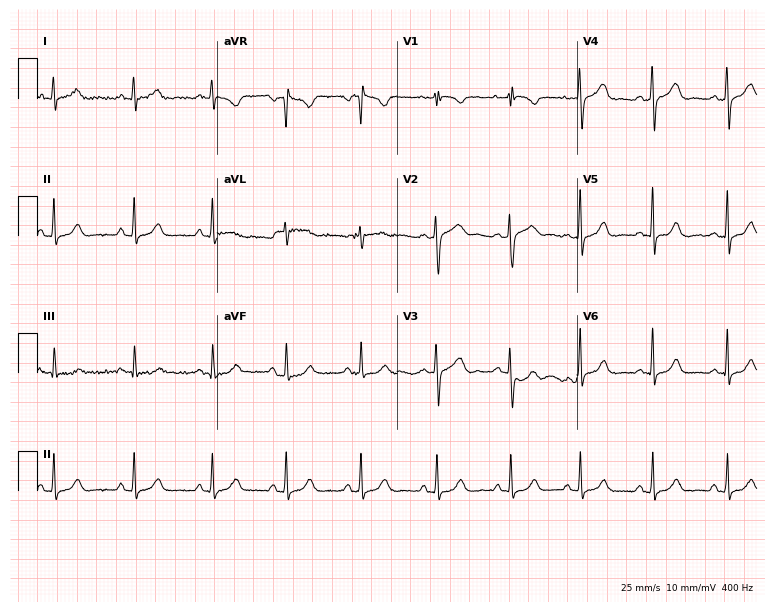
Standard 12-lead ECG recorded from a woman, 47 years old. None of these six findings is recorded: first-degree AV block, right bundle branch block, left bundle branch block, sinus bradycardia, atrial fibrillation, sinus tachycardia.